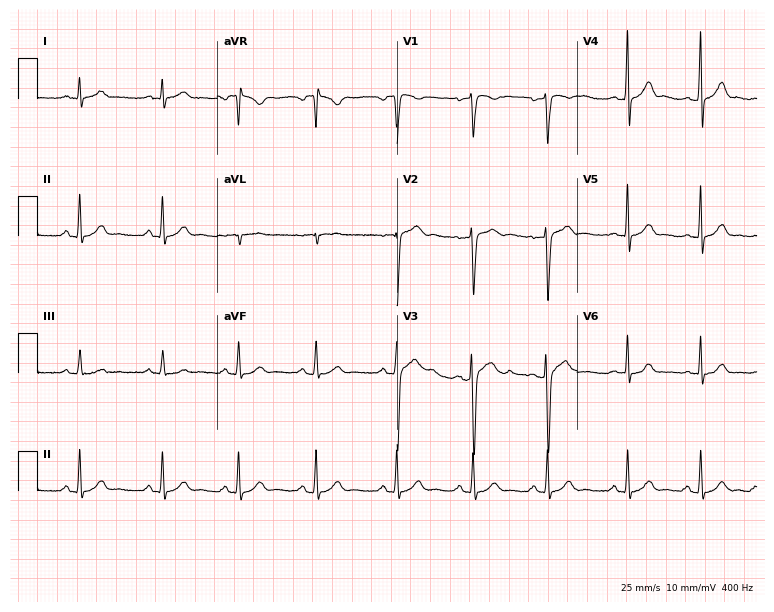
ECG (7.3-second recording at 400 Hz) — a man, 17 years old. Screened for six findings — first-degree AV block, right bundle branch block, left bundle branch block, sinus bradycardia, atrial fibrillation, sinus tachycardia — none is recorded.